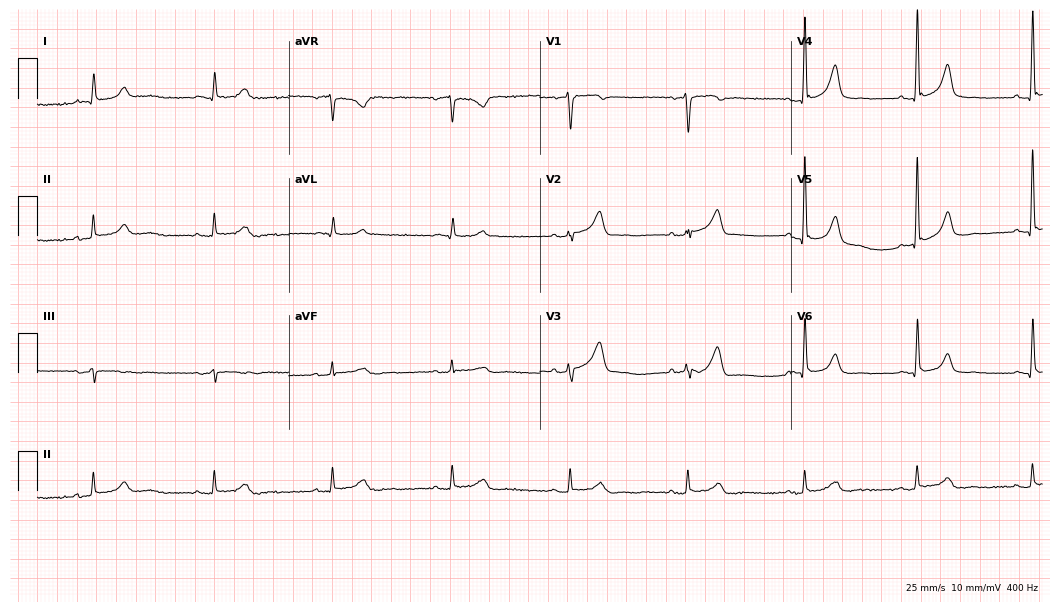
Standard 12-lead ECG recorded from a male, 73 years old. None of these six findings is recorded: first-degree AV block, right bundle branch block, left bundle branch block, sinus bradycardia, atrial fibrillation, sinus tachycardia. Findings outside these six are not listed.